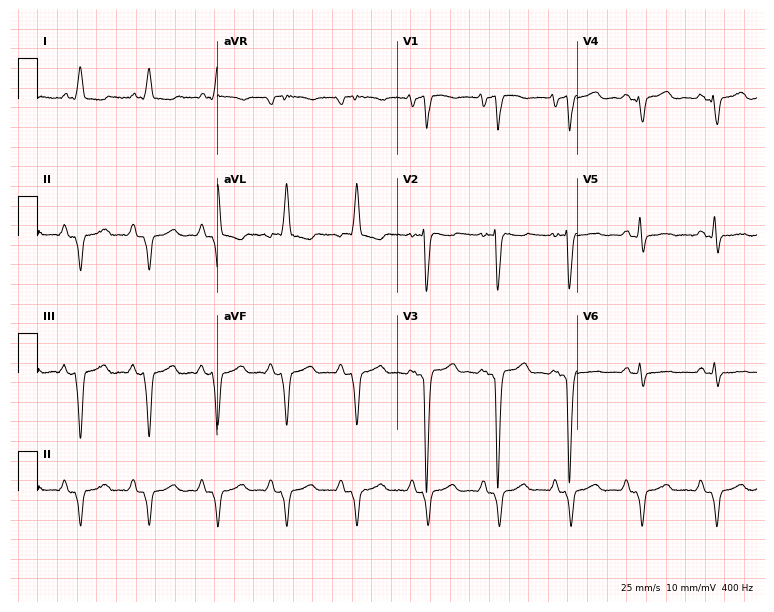
Resting 12-lead electrocardiogram (7.3-second recording at 400 Hz). Patient: a male, 57 years old. None of these six findings is recorded: first-degree AV block, right bundle branch block, left bundle branch block, sinus bradycardia, atrial fibrillation, sinus tachycardia. Findings outside these six are not listed.